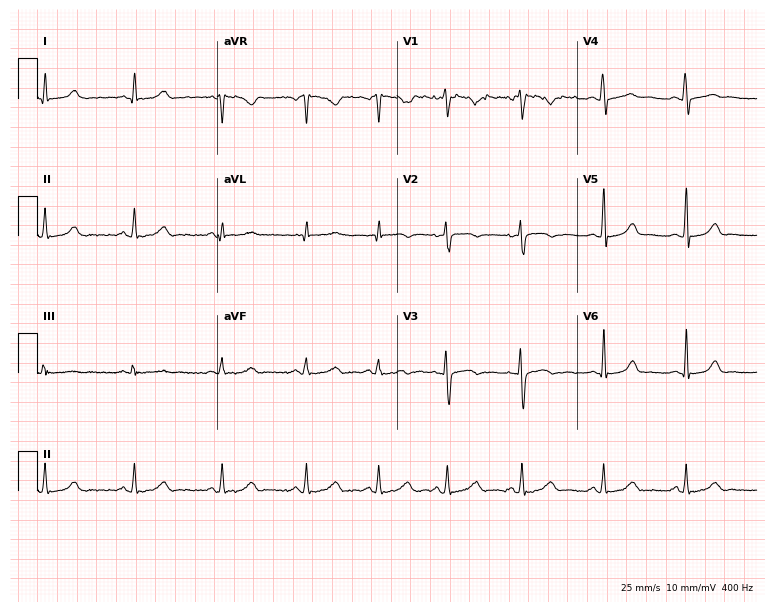
Electrocardiogram (7.3-second recording at 400 Hz), a woman, 28 years old. Overall reading on record: normal ECG.